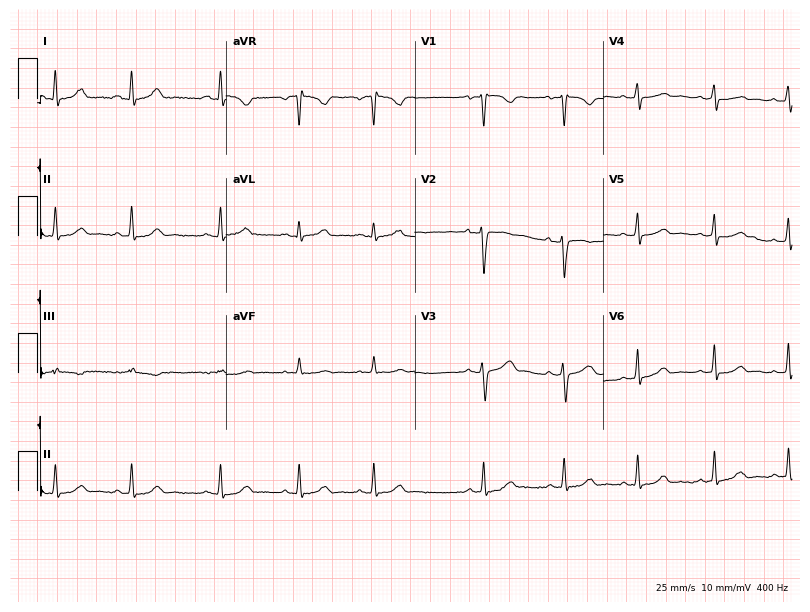
Resting 12-lead electrocardiogram (7.7-second recording at 400 Hz). Patient: a 25-year-old female. Read as a normal ECG.